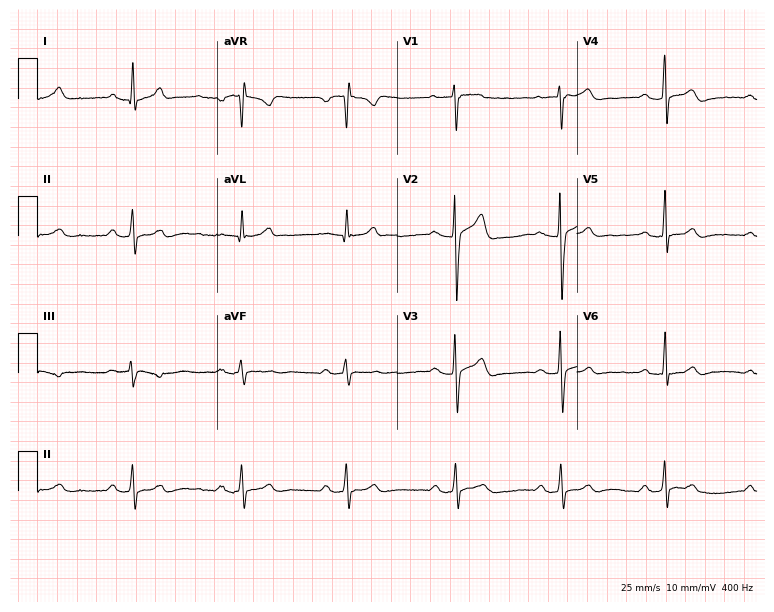
ECG — a male patient, 43 years old. Labelled as a normal ECG.